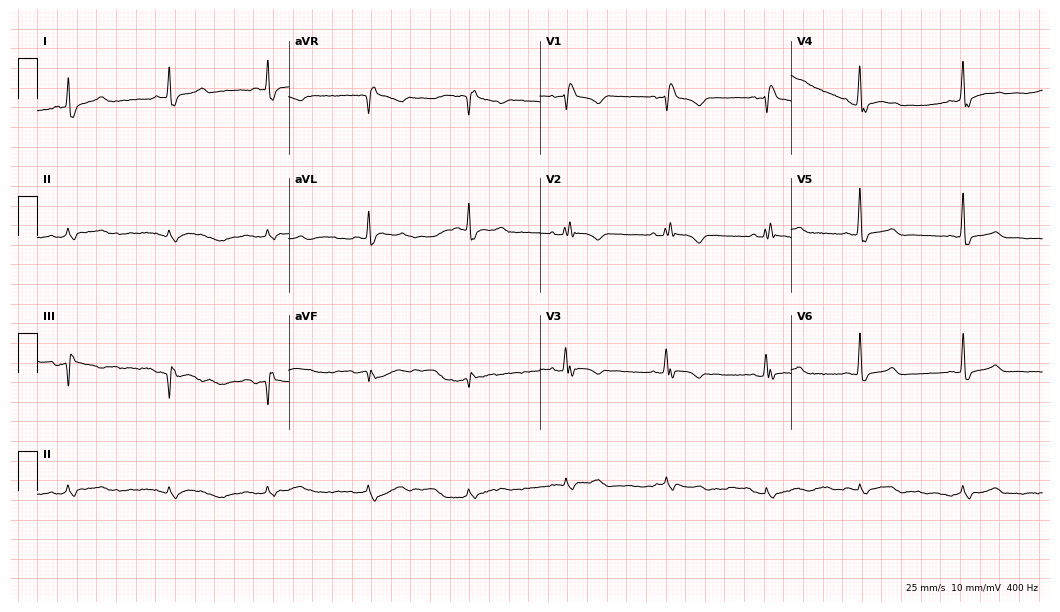
ECG (10.2-second recording at 400 Hz) — a male patient, 40 years old. Findings include right bundle branch block (RBBB).